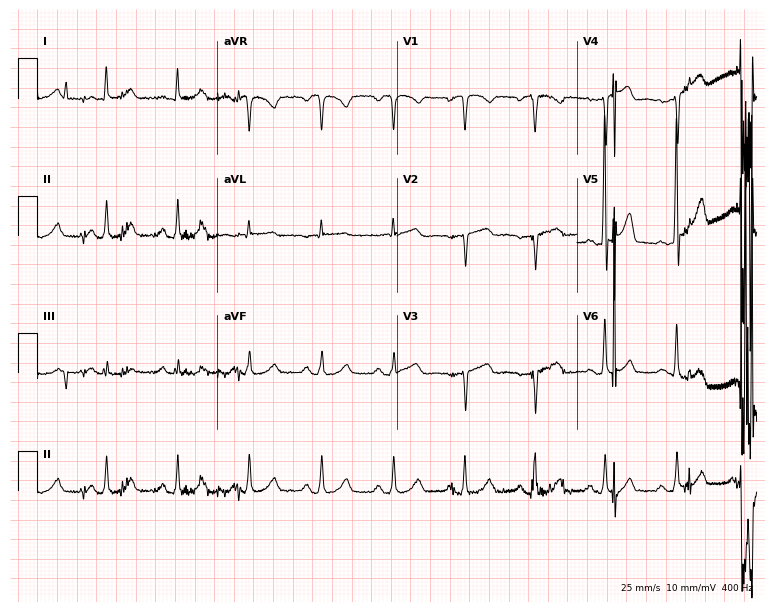
ECG — a woman, 61 years old. Screened for six findings — first-degree AV block, right bundle branch block (RBBB), left bundle branch block (LBBB), sinus bradycardia, atrial fibrillation (AF), sinus tachycardia — none is recorded.